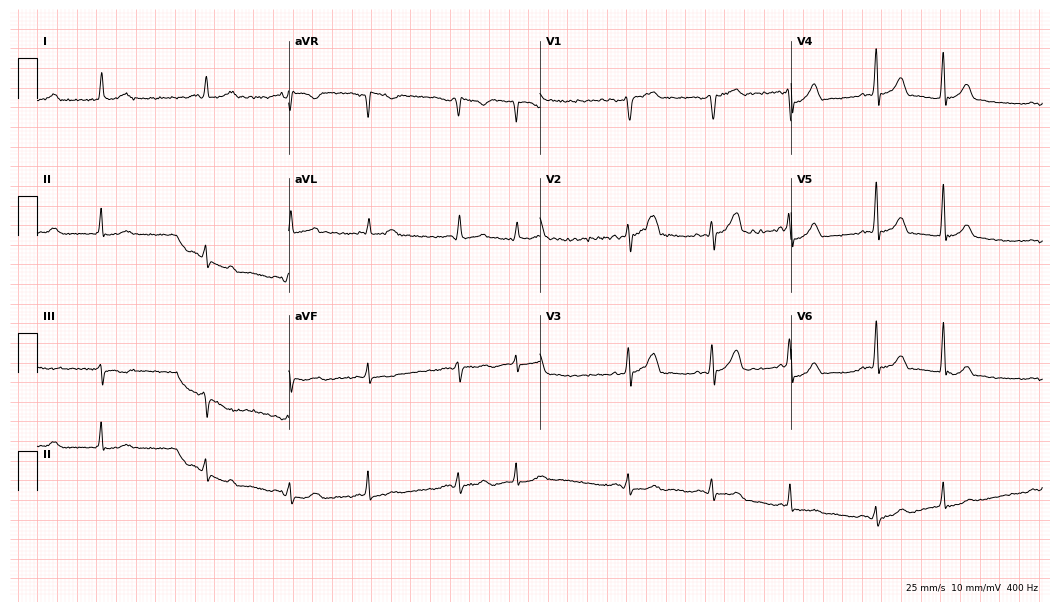
ECG (10.2-second recording at 400 Hz) — a 53-year-old male. Screened for six findings — first-degree AV block, right bundle branch block (RBBB), left bundle branch block (LBBB), sinus bradycardia, atrial fibrillation (AF), sinus tachycardia — none is recorded. Findings outside these six are not listed.